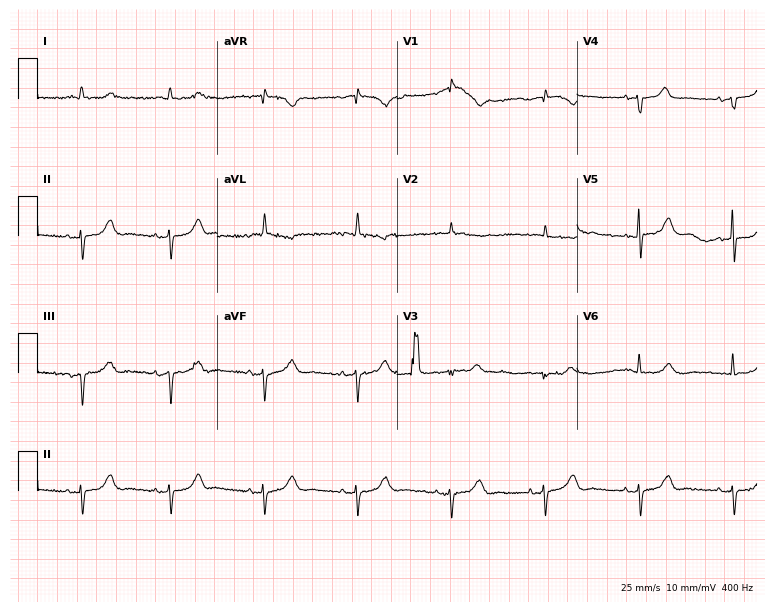
ECG (7.3-second recording at 400 Hz) — a woman, 80 years old. Screened for six findings — first-degree AV block, right bundle branch block, left bundle branch block, sinus bradycardia, atrial fibrillation, sinus tachycardia — none is recorded. Findings outside these six are not listed.